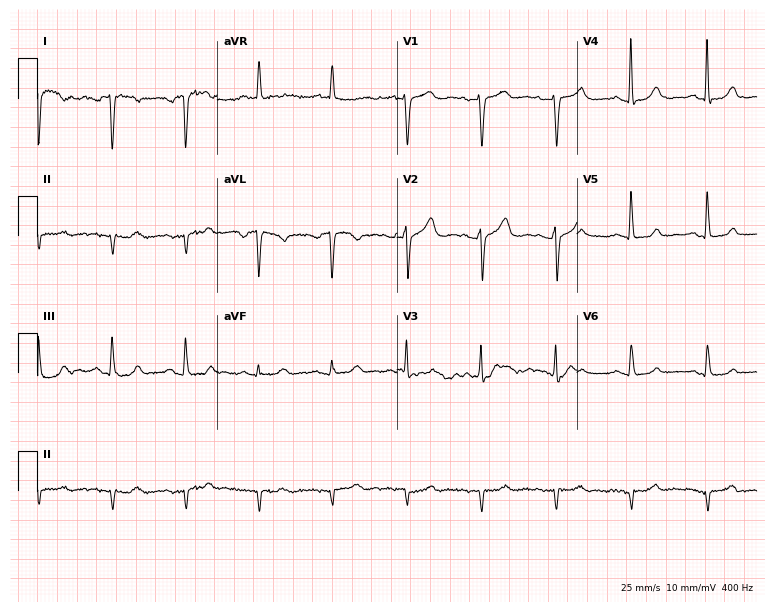
12-lead ECG from a 72-year-old female. No first-degree AV block, right bundle branch block (RBBB), left bundle branch block (LBBB), sinus bradycardia, atrial fibrillation (AF) or sinus tachycardia recorded for this tracing. Other findings, if any, are not listed.